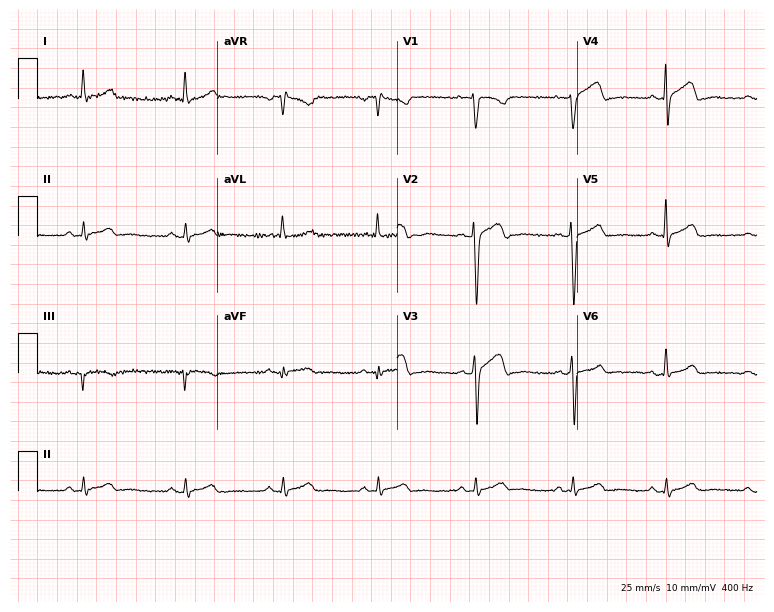
12-lead ECG from a woman, 45 years old (7.3-second recording at 400 Hz). Recorded interpretation: within normal limits.